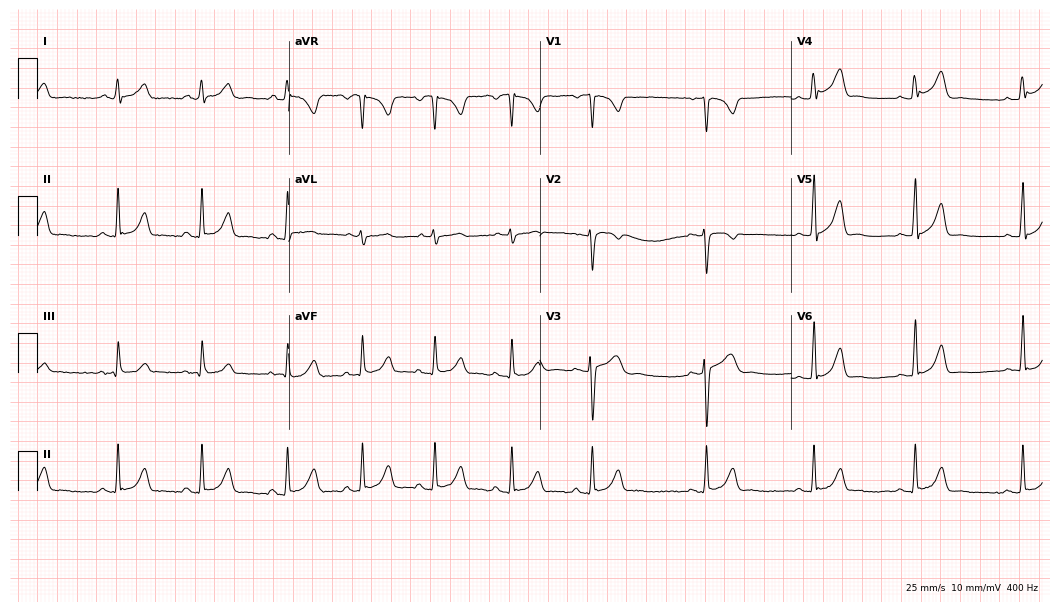
Resting 12-lead electrocardiogram (10.2-second recording at 400 Hz). Patient: a 27-year-old female. Read as a normal ECG.